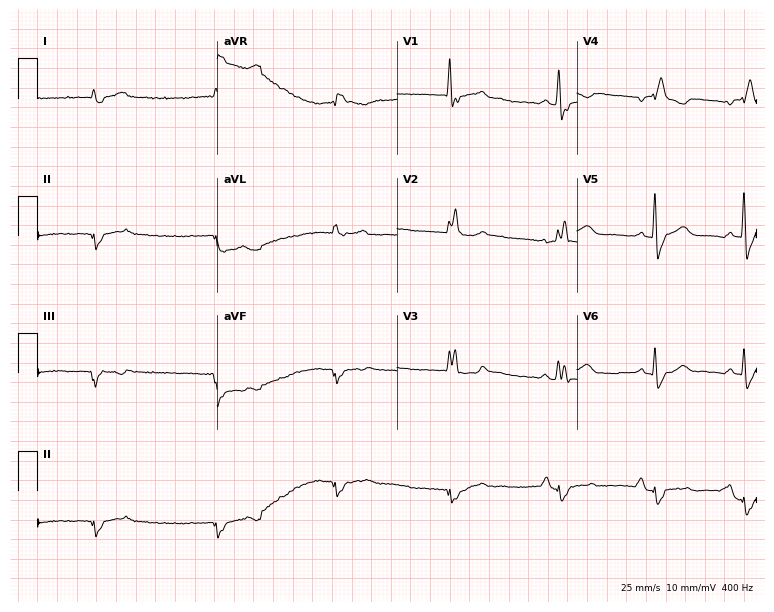
ECG — a 59-year-old male. Findings include right bundle branch block.